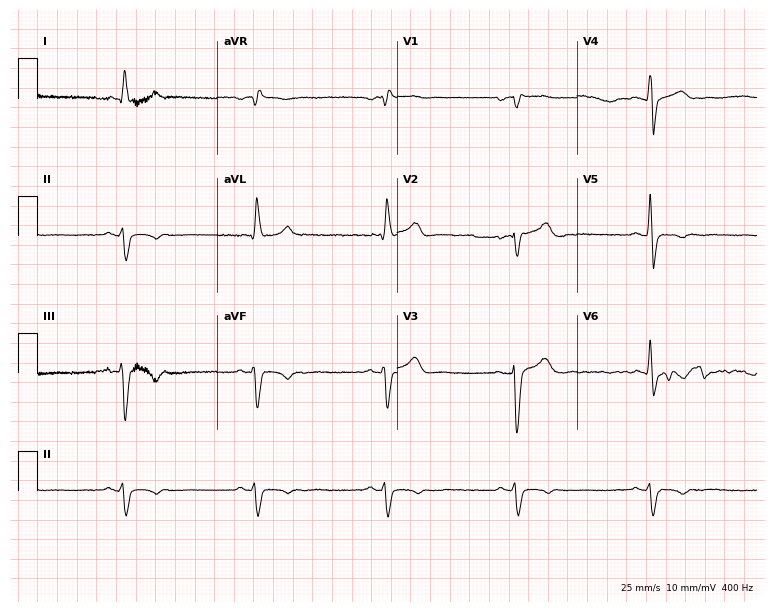
Resting 12-lead electrocardiogram. Patient: a 65-year-old male. The tracing shows left bundle branch block, sinus bradycardia (a sinus rate of 50 beats per minute or less).